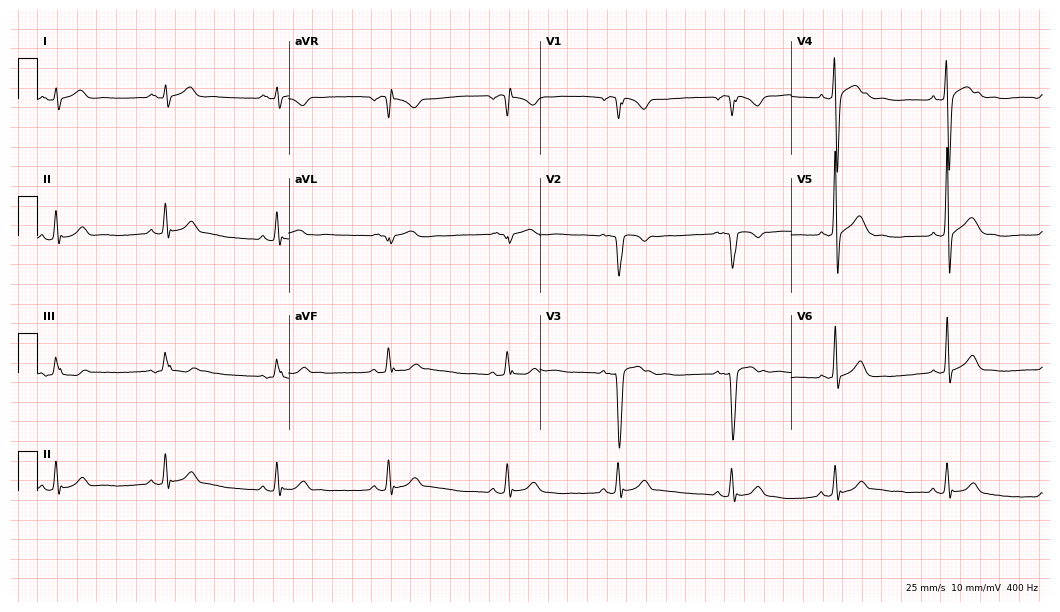
Resting 12-lead electrocardiogram. Patient: a man, 17 years old. None of these six findings is recorded: first-degree AV block, right bundle branch block, left bundle branch block, sinus bradycardia, atrial fibrillation, sinus tachycardia. Findings outside these six are not listed.